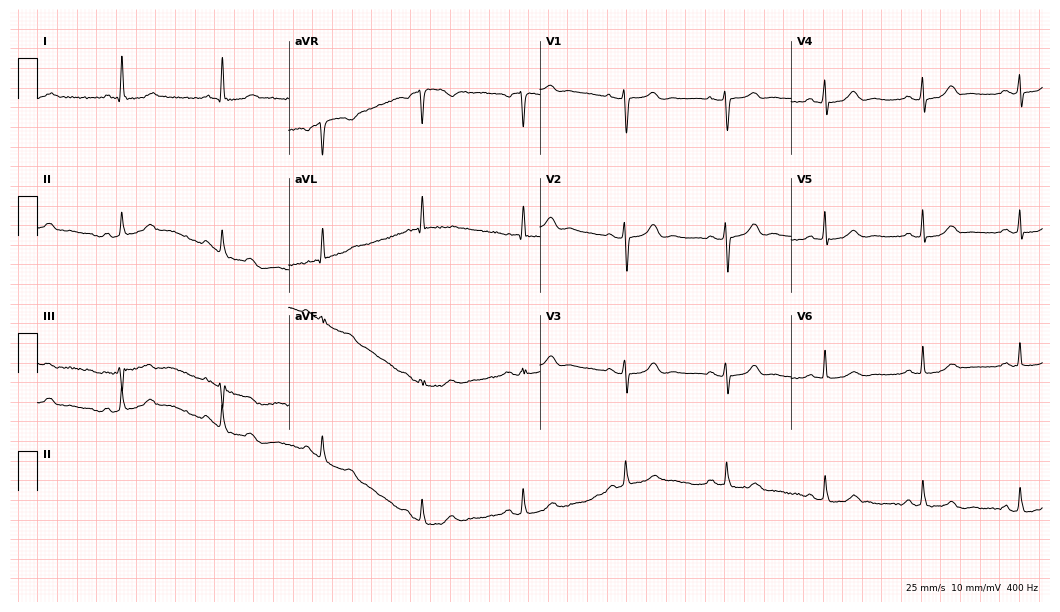
12-lead ECG from a 64-year-old female patient. No first-degree AV block, right bundle branch block (RBBB), left bundle branch block (LBBB), sinus bradycardia, atrial fibrillation (AF) or sinus tachycardia recorded for this tracing. Findings outside these six are not listed.